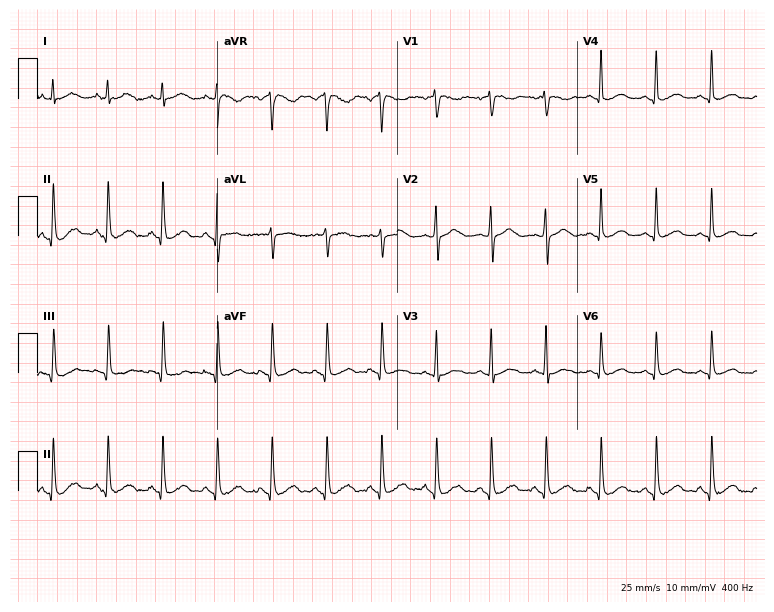
ECG — a woman, 51 years old. Findings include sinus tachycardia (a sinus rate of 100 beats per minute or more).